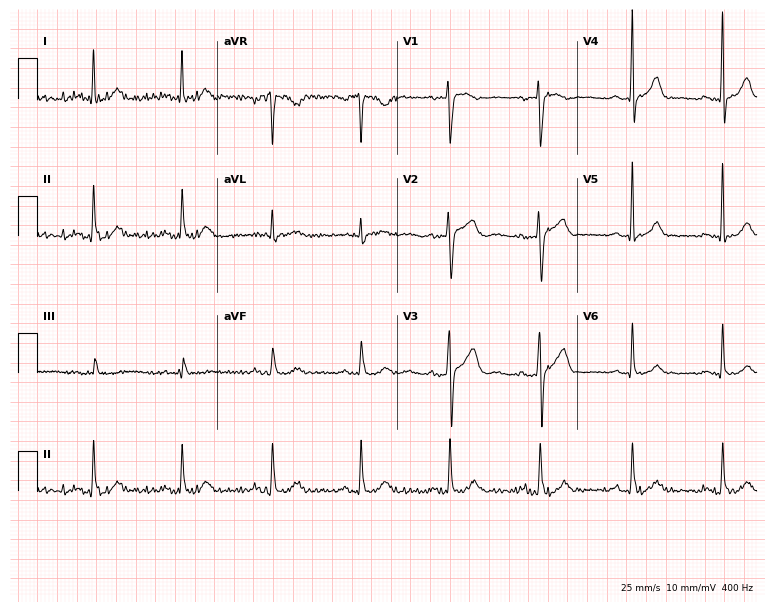
12-lead ECG (7.3-second recording at 400 Hz) from a 57-year-old female. Labelled as a normal ECG.